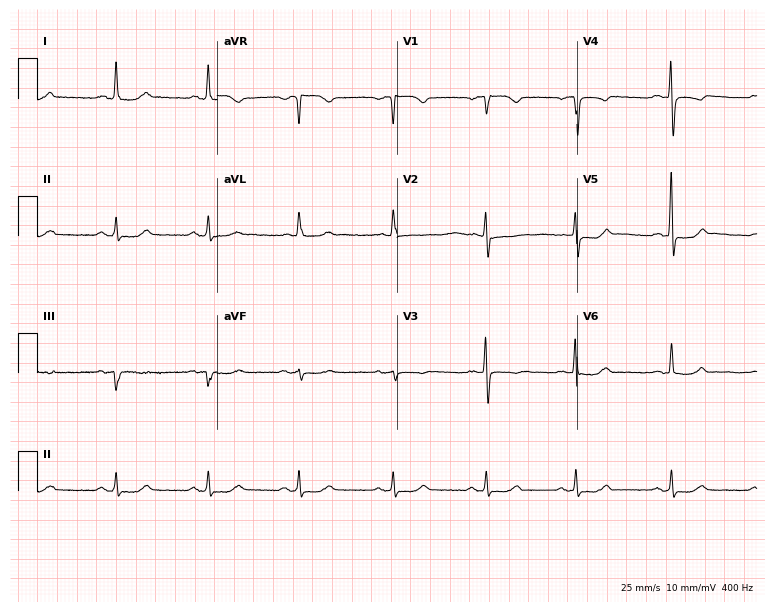
12-lead ECG from a female, 75 years old (7.3-second recording at 400 Hz). No first-degree AV block, right bundle branch block, left bundle branch block, sinus bradycardia, atrial fibrillation or sinus tachycardia recorded for this tracing.